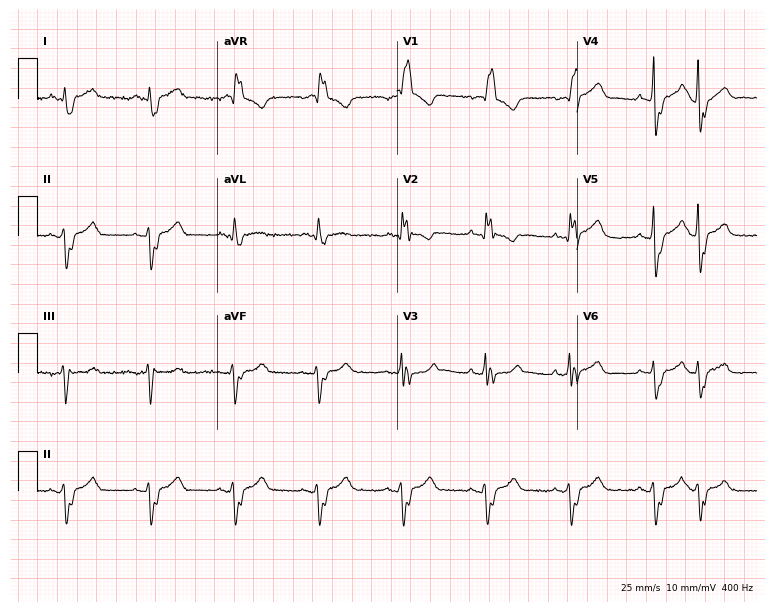
12-lead ECG (7.3-second recording at 400 Hz) from a female, 76 years old. Findings include right bundle branch block.